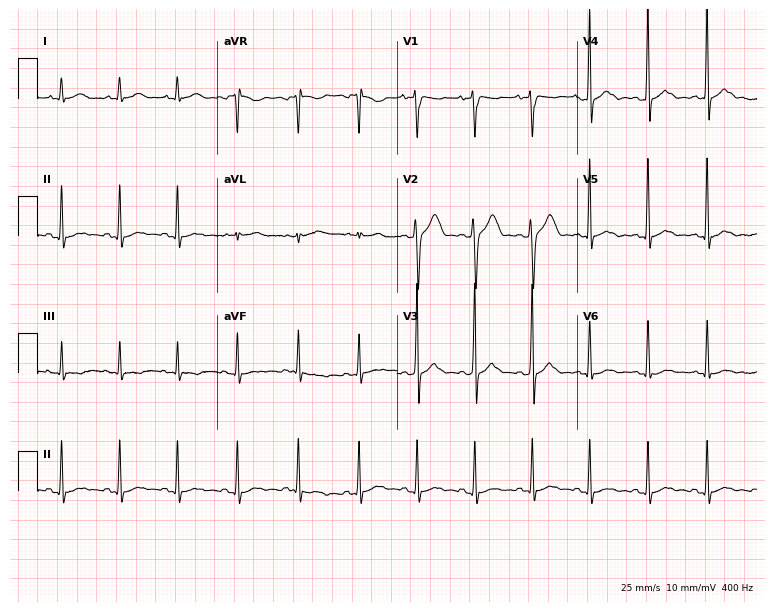
ECG (7.3-second recording at 400 Hz) — a 30-year-old male. Screened for six findings — first-degree AV block, right bundle branch block (RBBB), left bundle branch block (LBBB), sinus bradycardia, atrial fibrillation (AF), sinus tachycardia — none is recorded. Other findings, if any, are not listed.